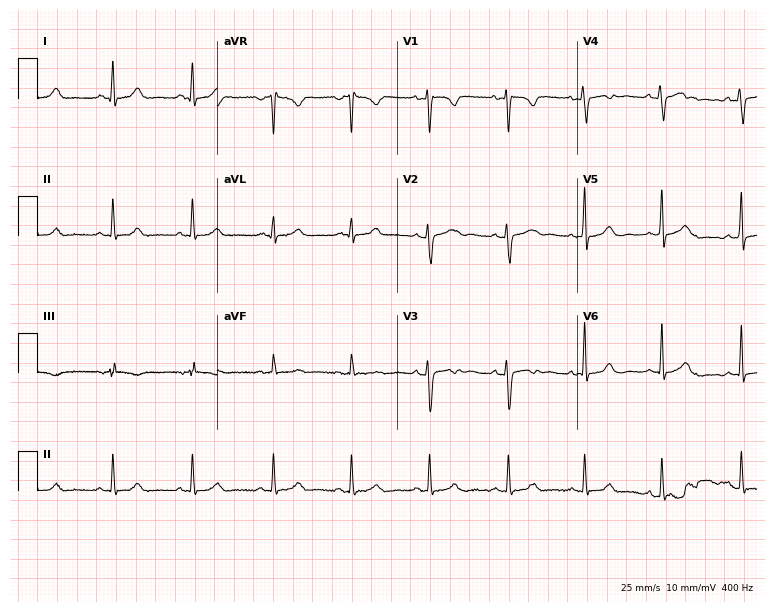
12-lead ECG from a female, 43 years old. Labelled as a normal ECG.